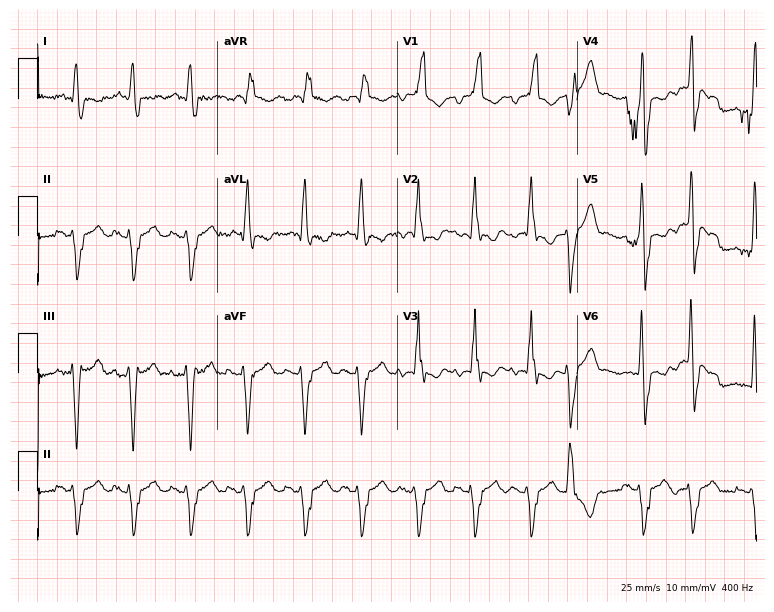
ECG — a 60-year-old male. Findings include right bundle branch block, sinus tachycardia (a sinus rate of 100 beats per minute or more).